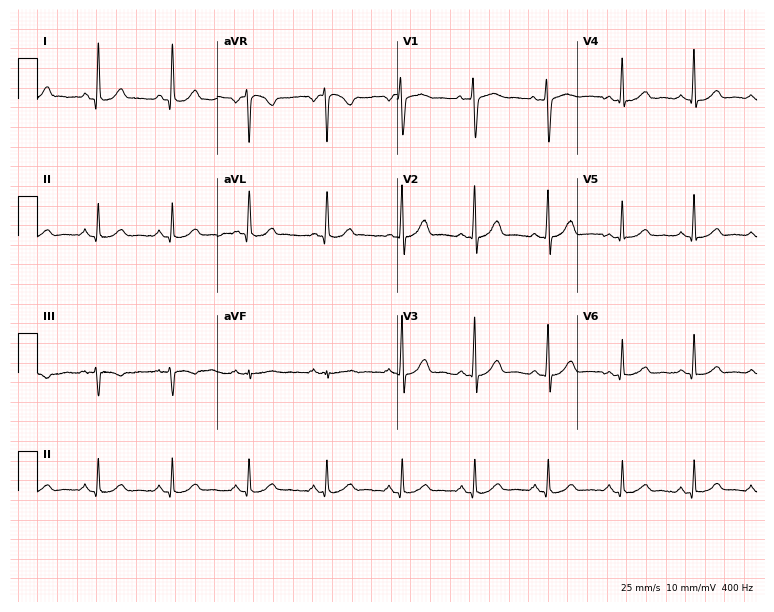
12-lead ECG (7.3-second recording at 400 Hz) from a 56-year-old female patient. Labelled as a normal ECG.